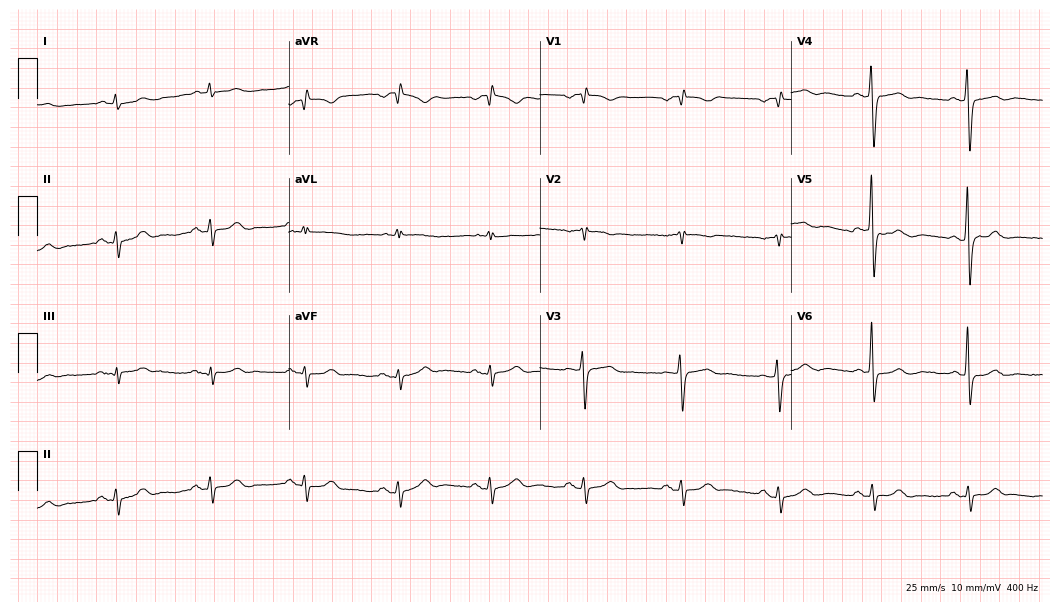
ECG — a male patient, 80 years old. Screened for six findings — first-degree AV block, right bundle branch block, left bundle branch block, sinus bradycardia, atrial fibrillation, sinus tachycardia — none is recorded.